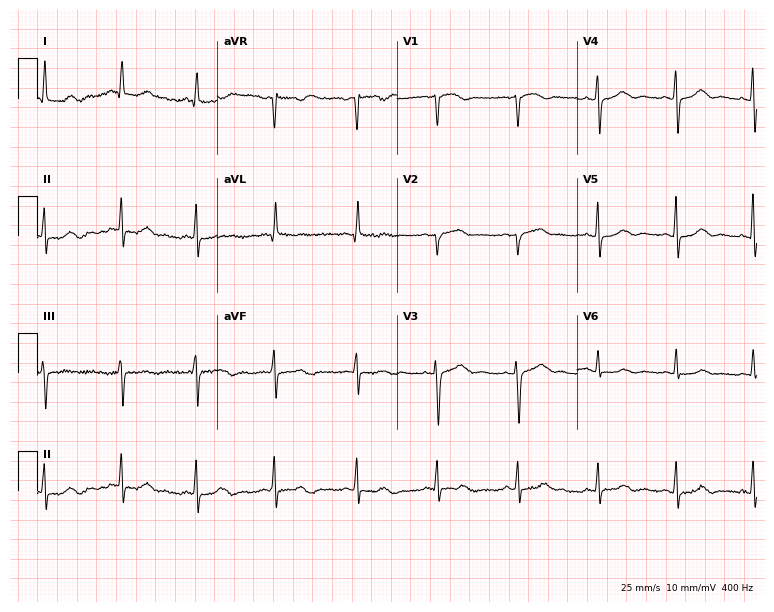
12-lead ECG (7.3-second recording at 400 Hz) from a female, 57 years old. Screened for six findings — first-degree AV block, right bundle branch block, left bundle branch block, sinus bradycardia, atrial fibrillation, sinus tachycardia — none is recorded. Findings outside these six are not listed.